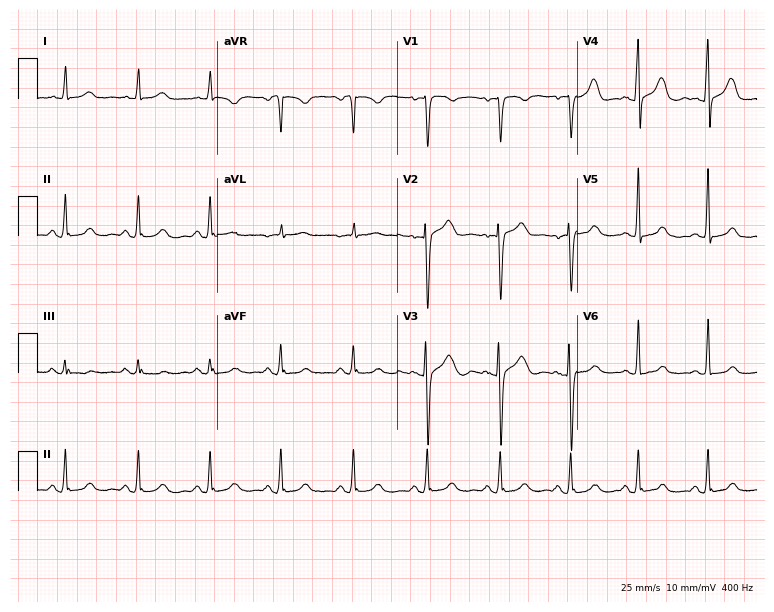
Resting 12-lead electrocardiogram. Patient: a female, 49 years old. Read as a normal ECG.